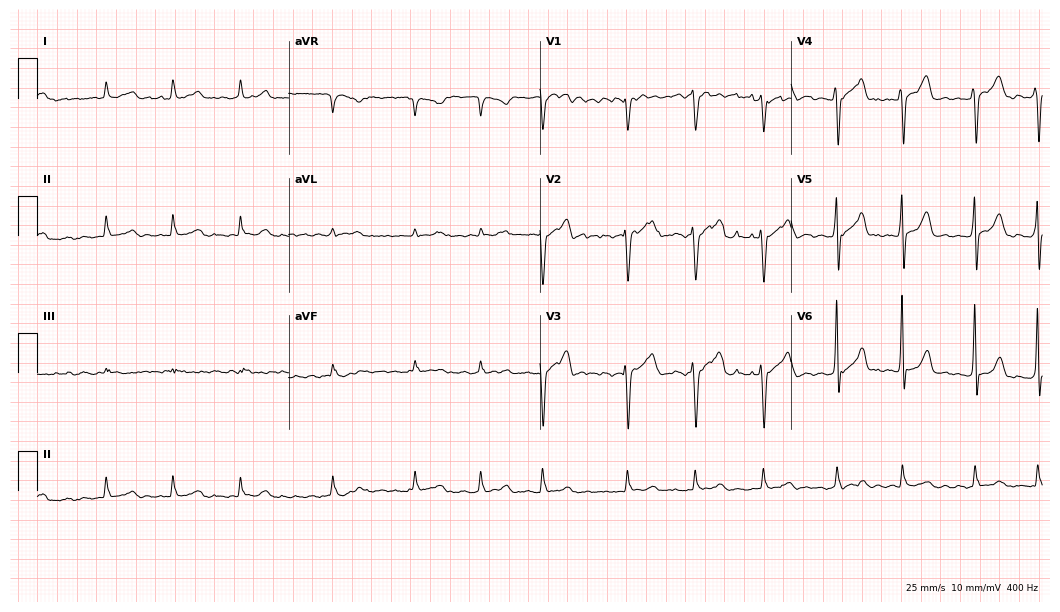
12-lead ECG from a 71-year-old man. Findings include atrial fibrillation.